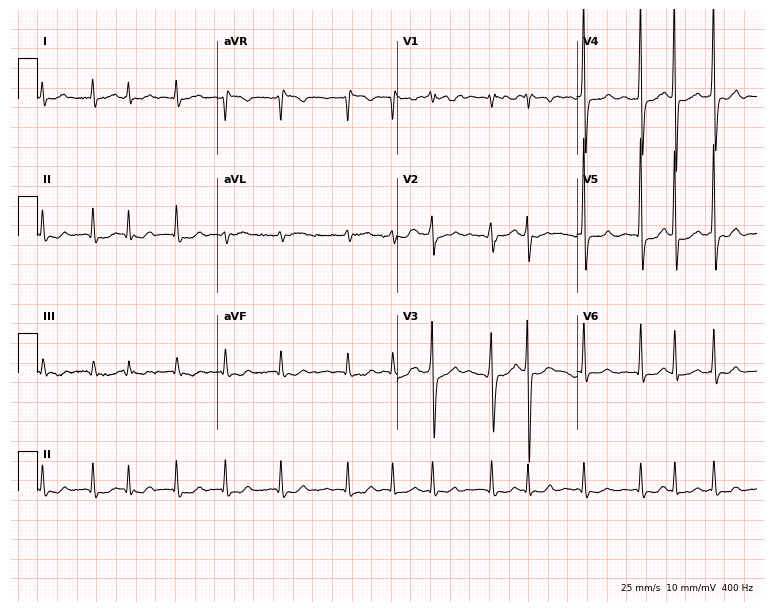
12-lead ECG from a 73-year-old male patient. Findings include atrial fibrillation (AF).